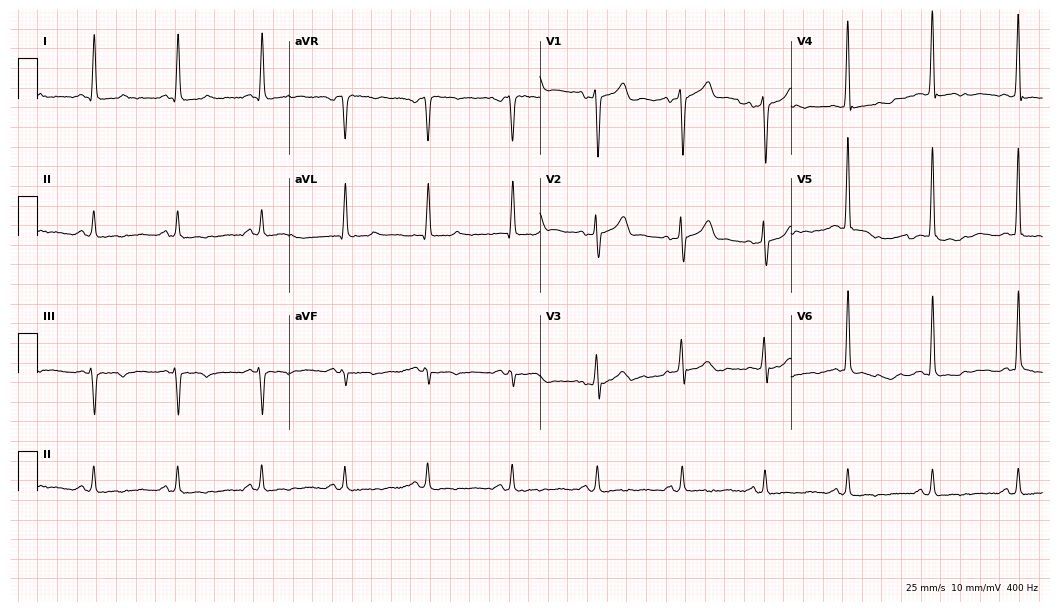
12-lead ECG from a 62-year-old male. No first-degree AV block, right bundle branch block (RBBB), left bundle branch block (LBBB), sinus bradycardia, atrial fibrillation (AF) or sinus tachycardia recorded for this tracing.